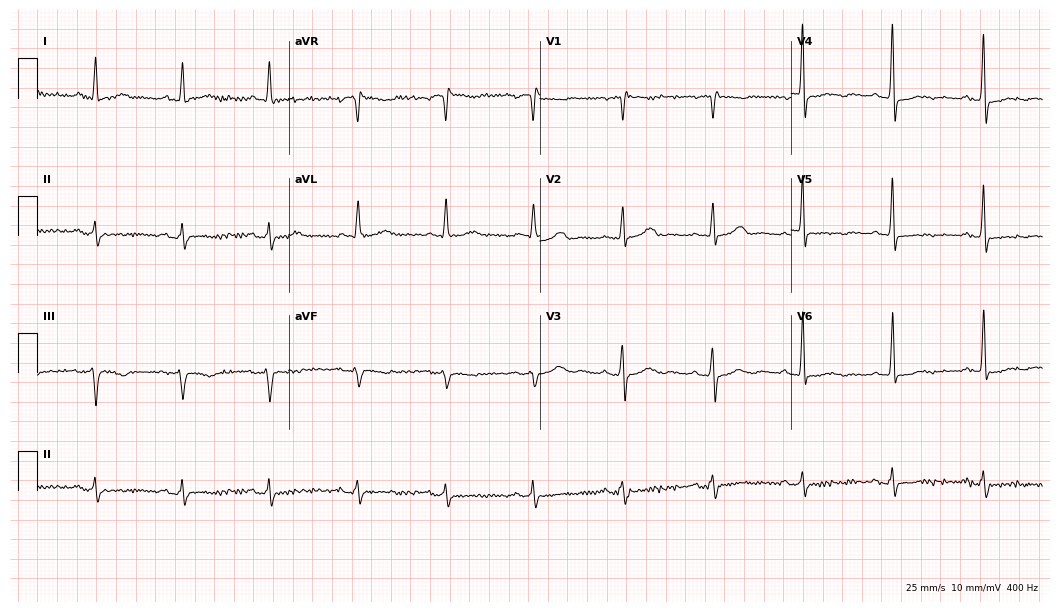
ECG (10.2-second recording at 400 Hz) — a woman, 70 years old. Screened for six findings — first-degree AV block, right bundle branch block, left bundle branch block, sinus bradycardia, atrial fibrillation, sinus tachycardia — none is recorded. Findings outside these six are not listed.